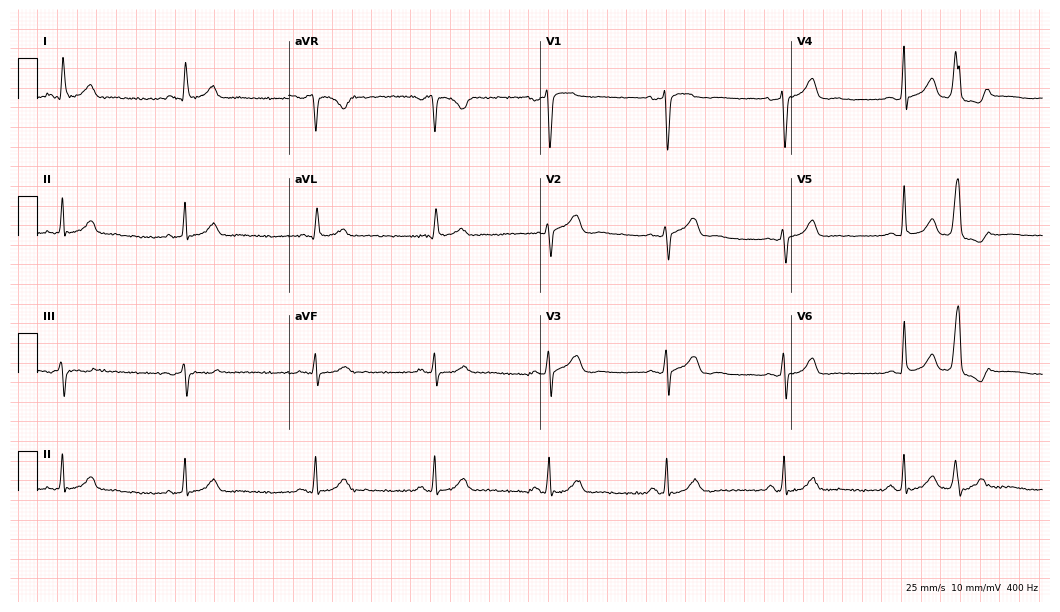
12-lead ECG from a 59-year-old female patient. Shows sinus bradycardia (a sinus rate of 50 beats per minute or less).